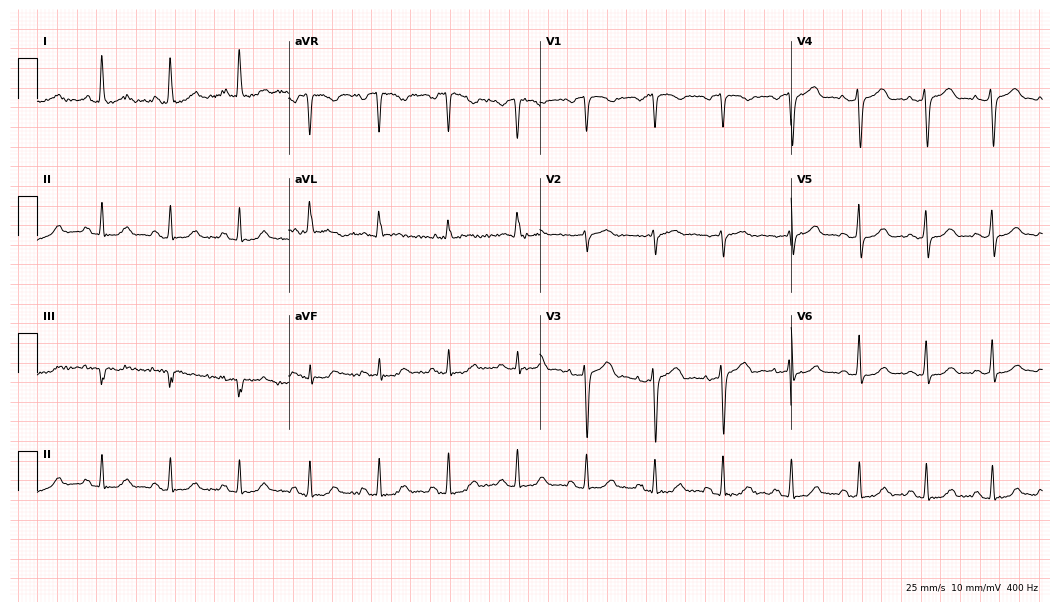
Electrocardiogram, a woman, 73 years old. Overall reading on record: normal ECG.